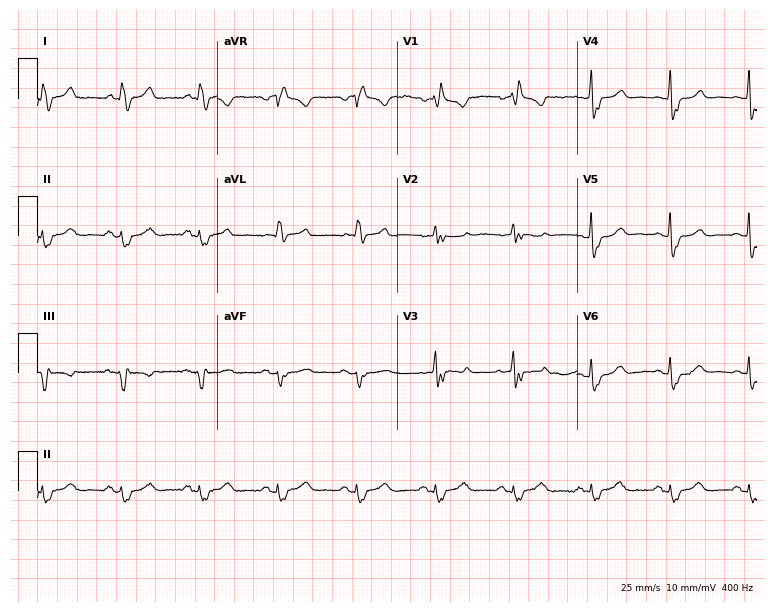
Resting 12-lead electrocardiogram. Patient: a 68-year-old female. The tracing shows right bundle branch block (RBBB).